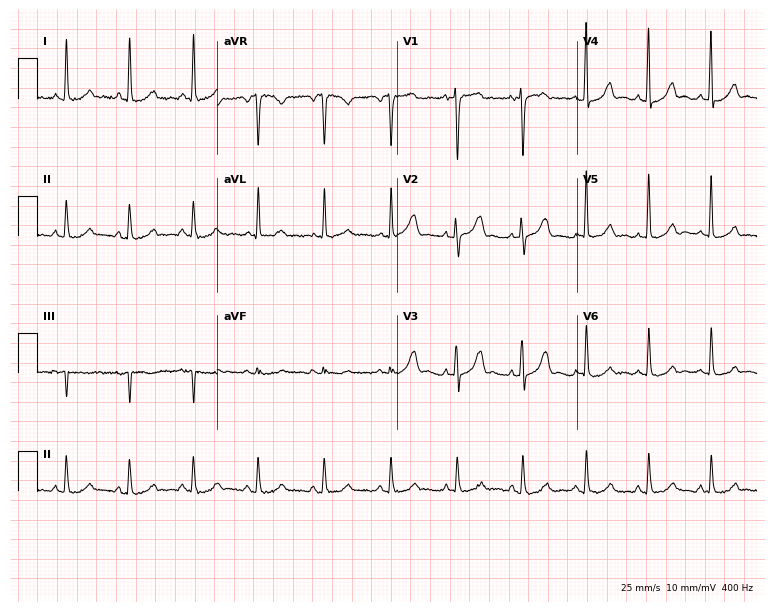
Standard 12-lead ECG recorded from a female patient, 47 years old. None of these six findings is recorded: first-degree AV block, right bundle branch block, left bundle branch block, sinus bradycardia, atrial fibrillation, sinus tachycardia.